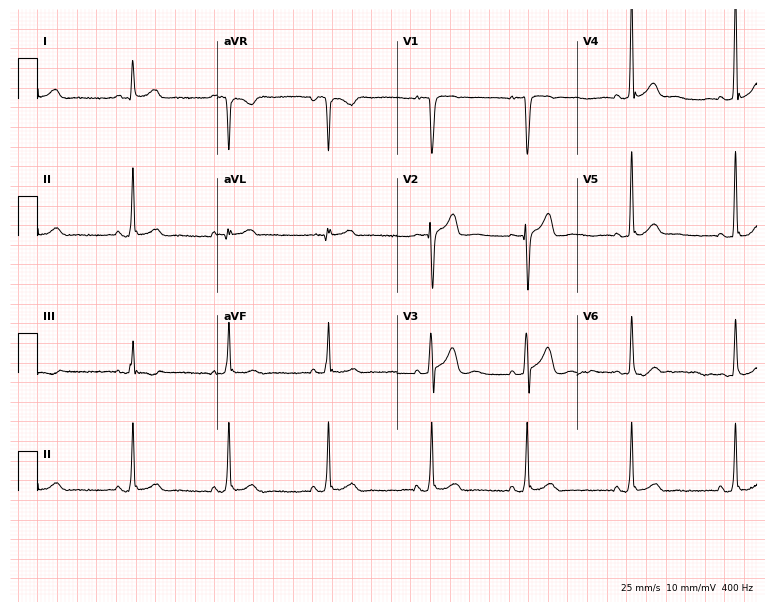
Electrocardiogram (7.3-second recording at 400 Hz), a male patient, 25 years old. Overall reading on record: normal ECG.